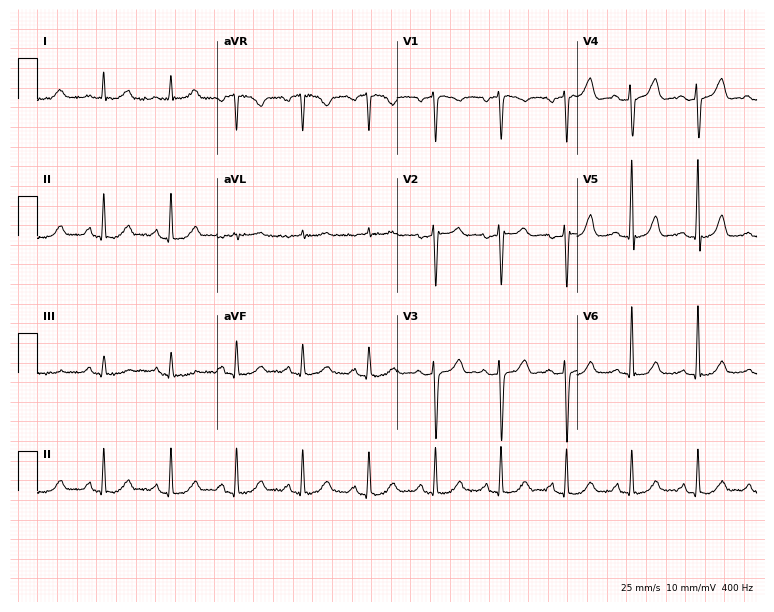
Electrocardiogram, a 62-year-old male. Of the six screened findings (first-degree AV block, right bundle branch block, left bundle branch block, sinus bradycardia, atrial fibrillation, sinus tachycardia), none is recorded.